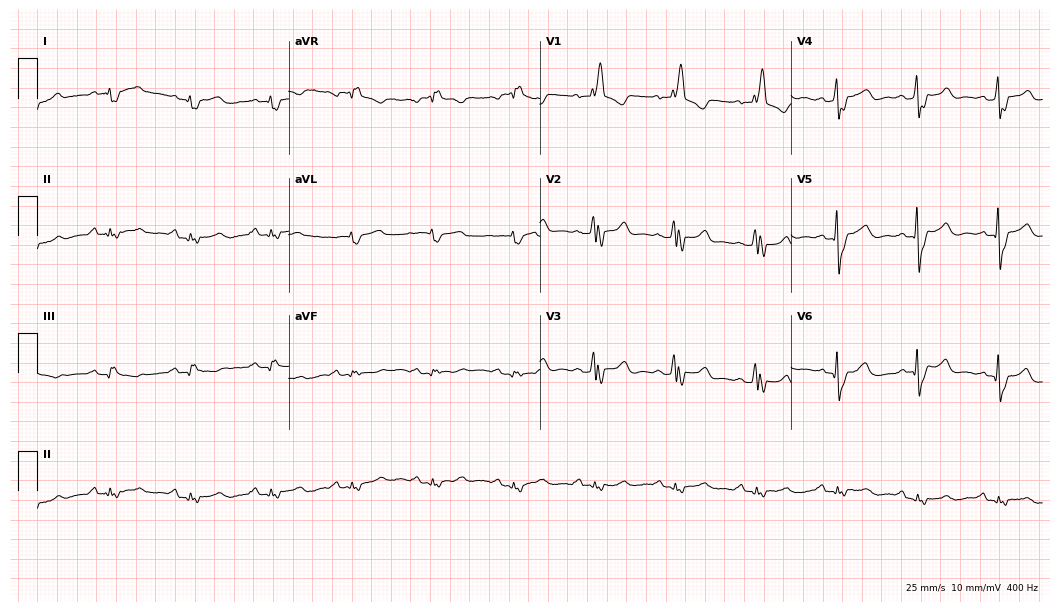
ECG — a 62-year-old man. Findings include right bundle branch block.